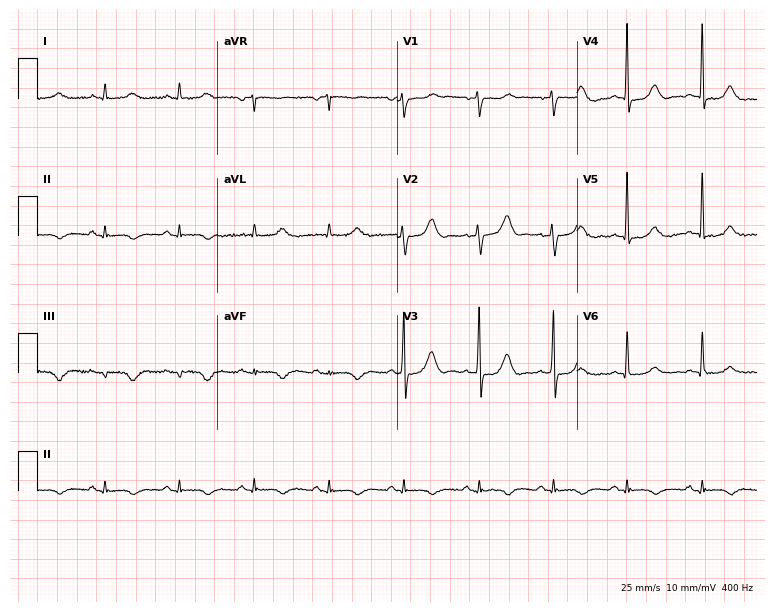
12-lead ECG (7.3-second recording at 400 Hz) from a male, 73 years old. Screened for six findings — first-degree AV block, right bundle branch block, left bundle branch block, sinus bradycardia, atrial fibrillation, sinus tachycardia — none is recorded.